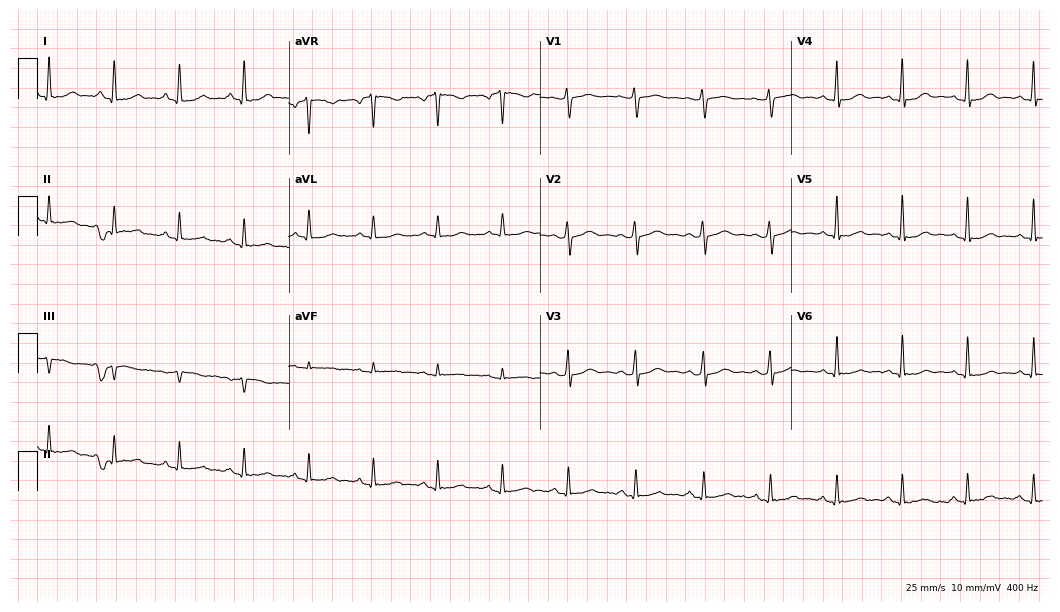
12-lead ECG from a woman, 48 years old. Recorded interpretation: within normal limits.